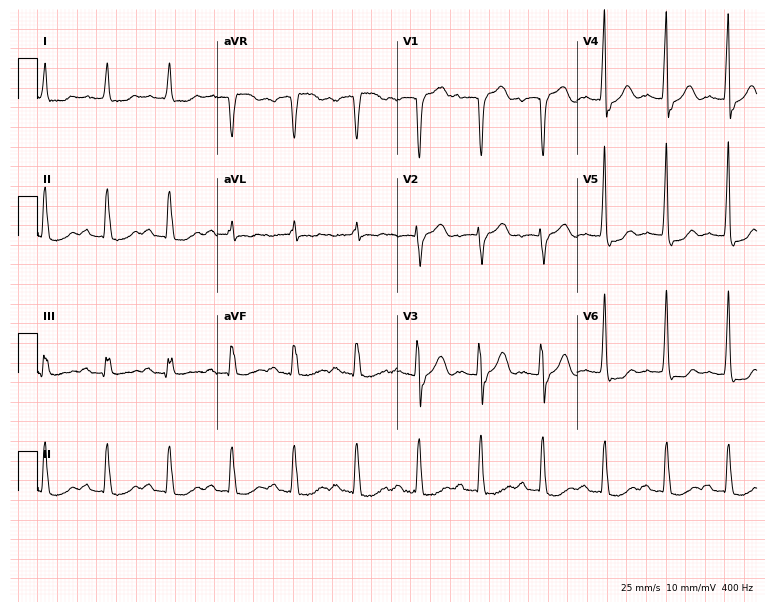
ECG (7.3-second recording at 400 Hz) — an 84-year-old man. Screened for six findings — first-degree AV block, right bundle branch block, left bundle branch block, sinus bradycardia, atrial fibrillation, sinus tachycardia — none is recorded.